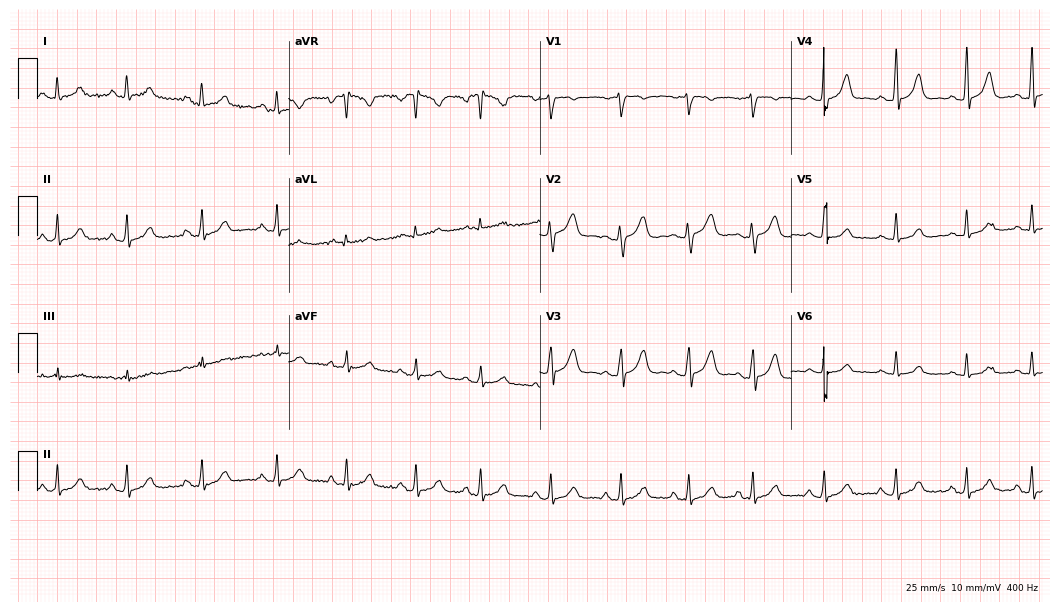
Electrocardiogram, a woman, 21 years old. Overall reading on record: normal ECG.